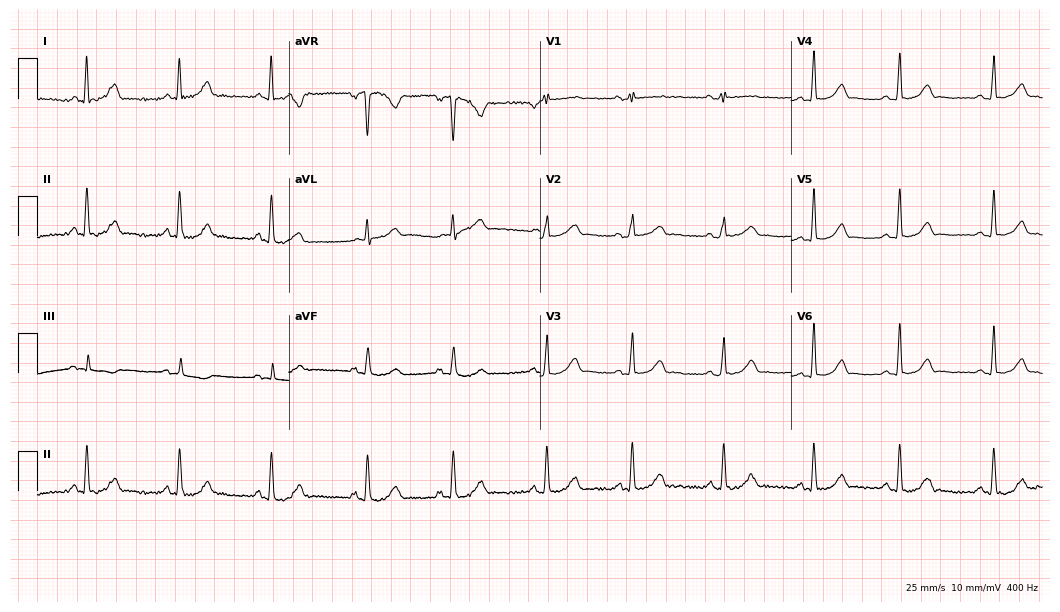
ECG (10.2-second recording at 400 Hz) — a 37-year-old female patient. Labelled as a normal ECG.